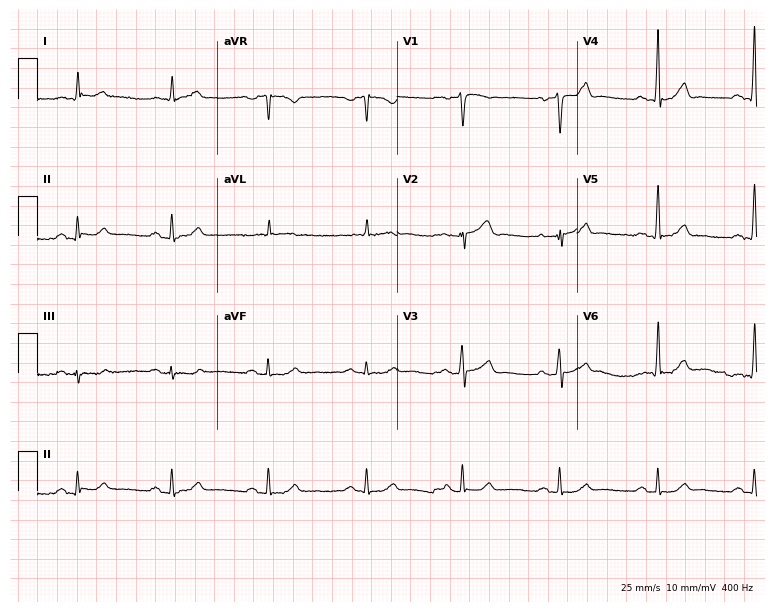
ECG — a 64-year-old man. Screened for six findings — first-degree AV block, right bundle branch block, left bundle branch block, sinus bradycardia, atrial fibrillation, sinus tachycardia — none is recorded.